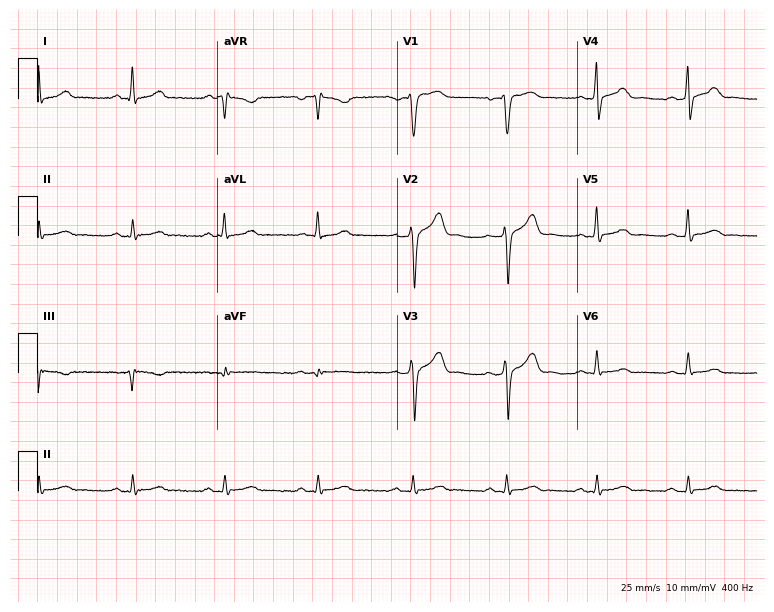
12-lead ECG (7.3-second recording at 400 Hz) from a 46-year-old man. Screened for six findings — first-degree AV block, right bundle branch block, left bundle branch block, sinus bradycardia, atrial fibrillation, sinus tachycardia — none is recorded. Findings outside these six are not listed.